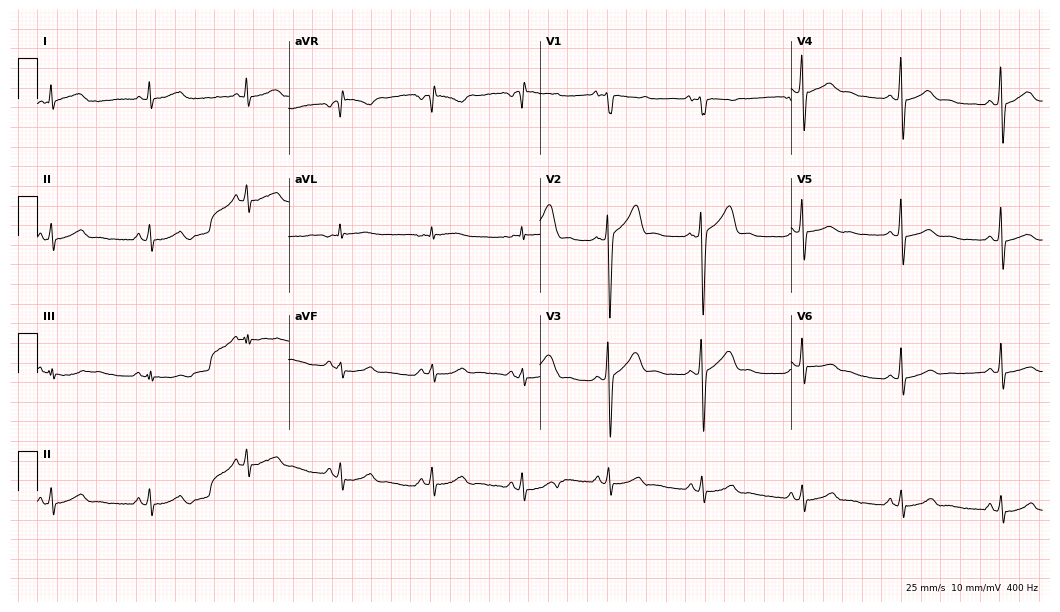
ECG — a male, 39 years old. Labelled as a normal ECG.